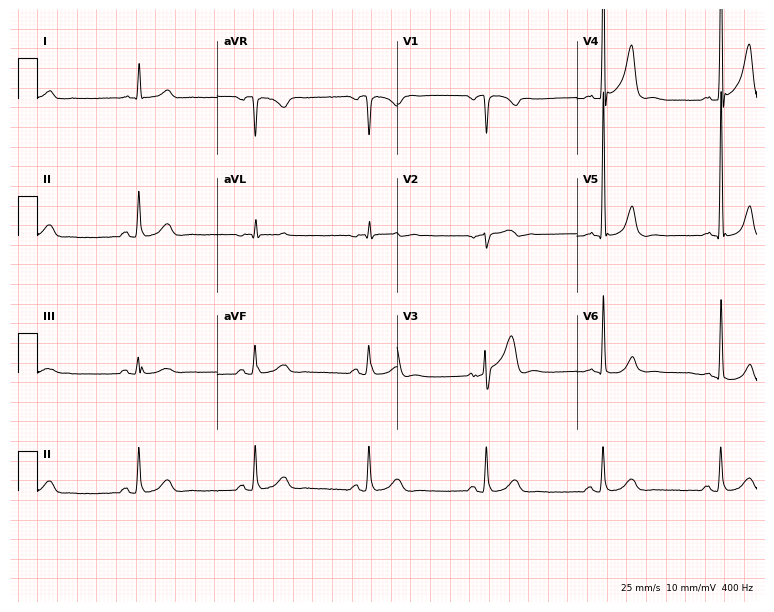
ECG (7.3-second recording at 400 Hz) — a 75-year-old man. Screened for six findings — first-degree AV block, right bundle branch block, left bundle branch block, sinus bradycardia, atrial fibrillation, sinus tachycardia — none is recorded. Findings outside these six are not listed.